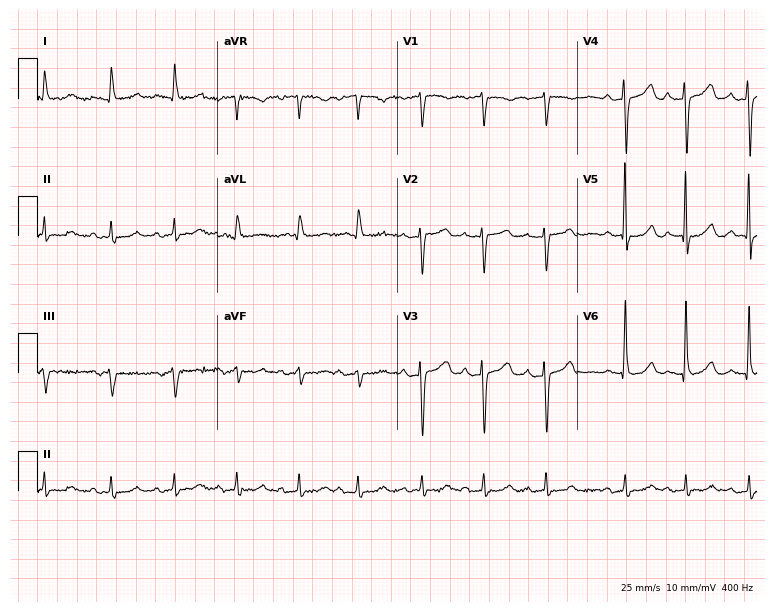
ECG — an 81-year-old male patient. Screened for six findings — first-degree AV block, right bundle branch block (RBBB), left bundle branch block (LBBB), sinus bradycardia, atrial fibrillation (AF), sinus tachycardia — none is recorded. Other findings, if any, are not listed.